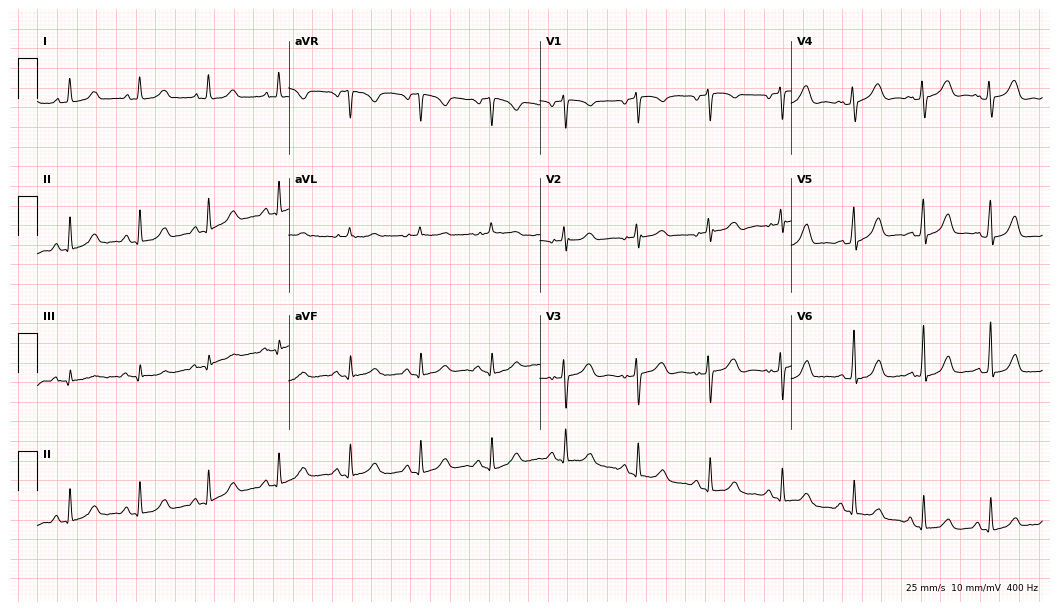
Resting 12-lead electrocardiogram. Patient: a 70-year-old female. Read as a normal ECG.